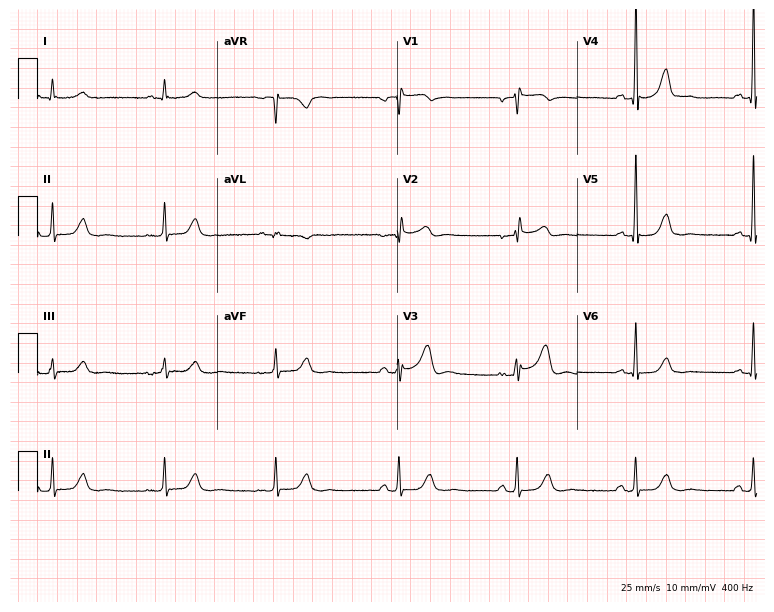
Electrocardiogram, a 71-year-old woman. Of the six screened findings (first-degree AV block, right bundle branch block, left bundle branch block, sinus bradycardia, atrial fibrillation, sinus tachycardia), none is recorded.